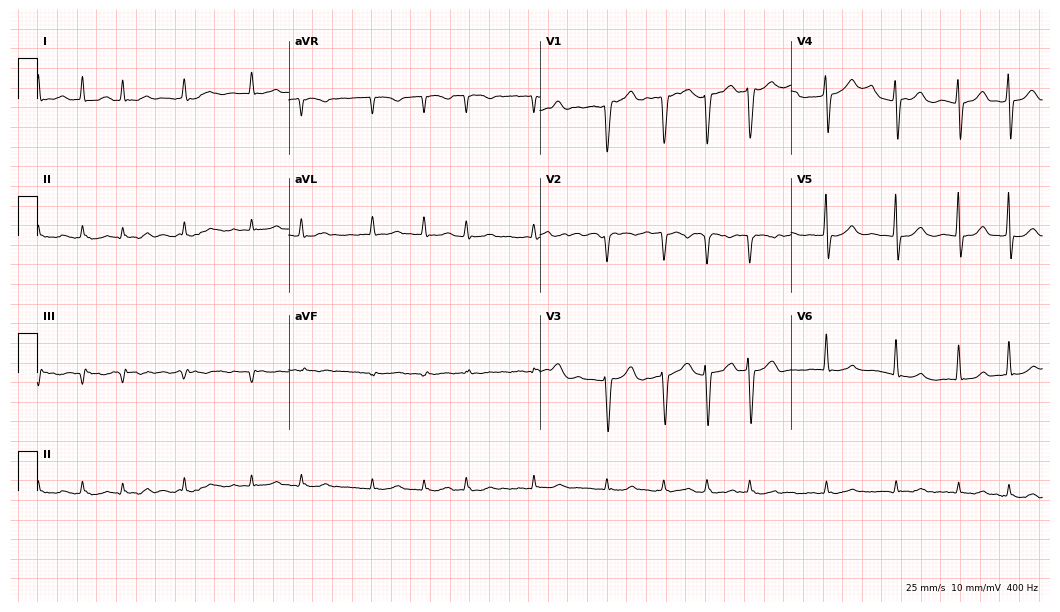
12-lead ECG from a man, 72 years old. Findings include atrial fibrillation.